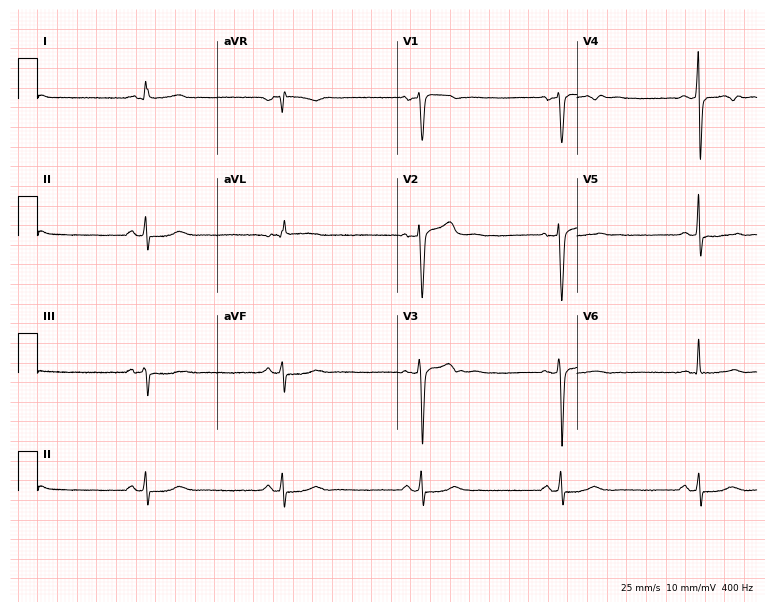
Resting 12-lead electrocardiogram. Patient: a 65-year-old male. The tracing shows sinus bradycardia (a sinus rate of 50 beats per minute or less).